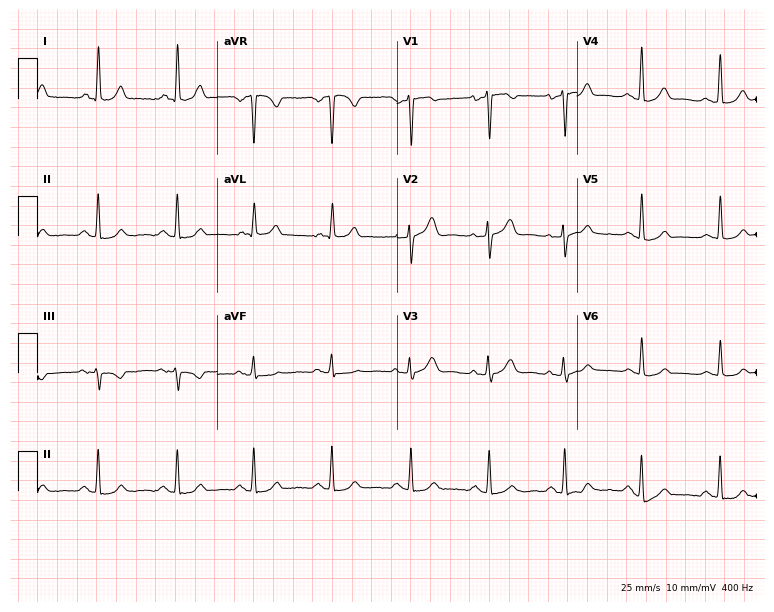
Electrocardiogram, a 45-year-old woman. Of the six screened findings (first-degree AV block, right bundle branch block (RBBB), left bundle branch block (LBBB), sinus bradycardia, atrial fibrillation (AF), sinus tachycardia), none is recorded.